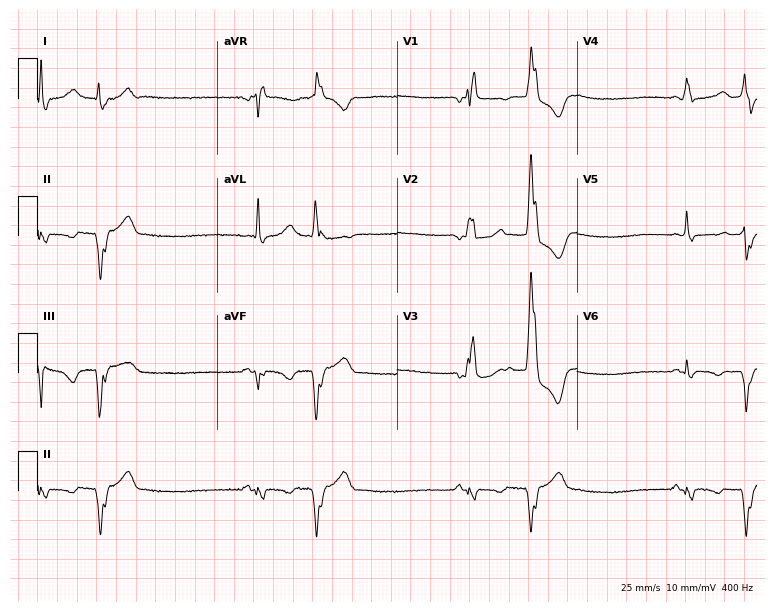
Electrocardiogram, a 40-year-old woman. Interpretation includes right bundle branch block.